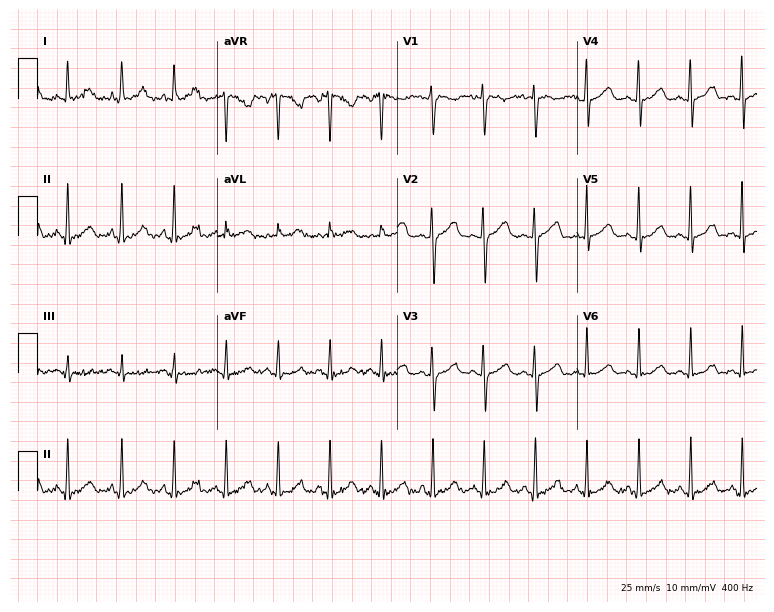
12-lead ECG from a female patient, 39 years old (7.3-second recording at 400 Hz). Shows sinus tachycardia (a sinus rate of 100 beats per minute or more).